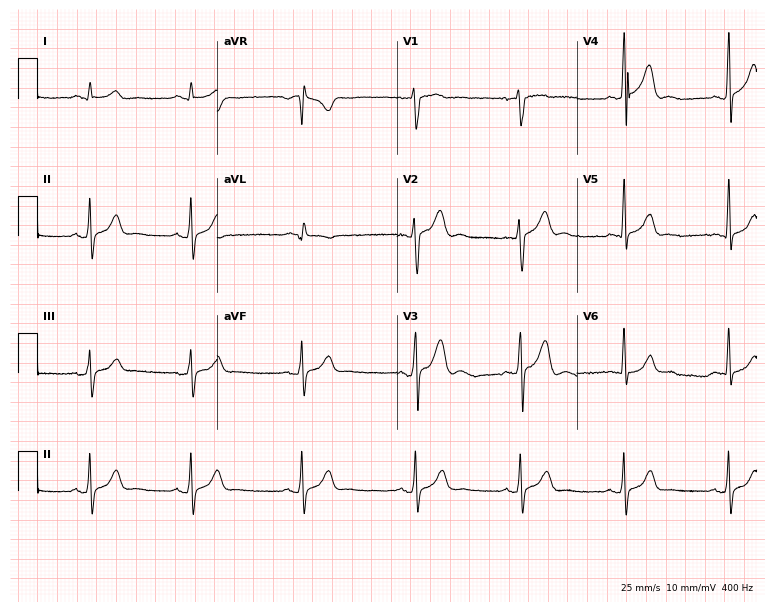
Electrocardiogram, a 33-year-old male. Overall reading on record: normal ECG.